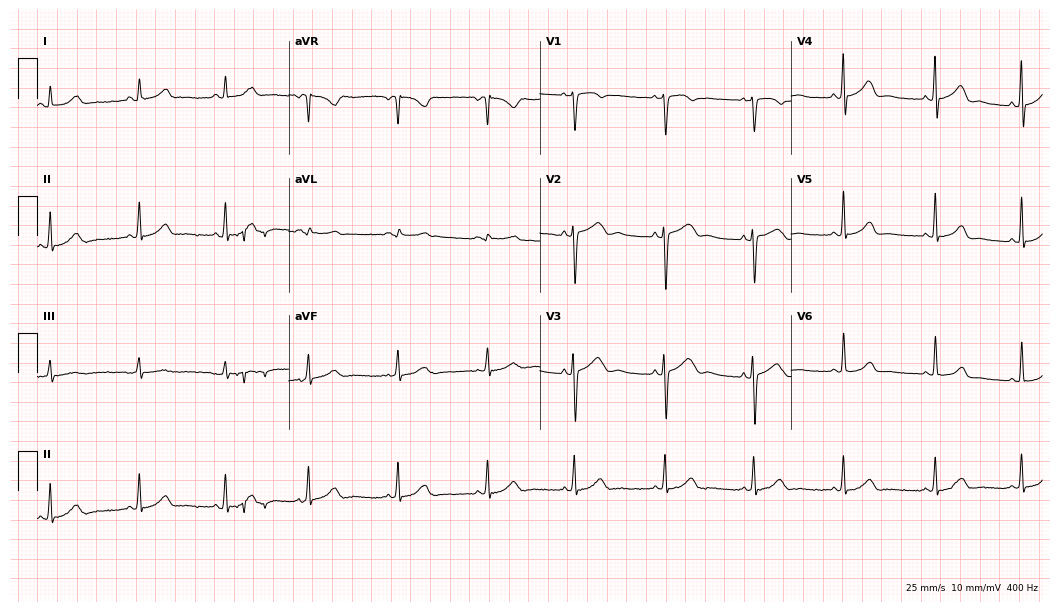
Standard 12-lead ECG recorded from a woman, 35 years old (10.2-second recording at 400 Hz). None of these six findings is recorded: first-degree AV block, right bundle branch block, left bundle branch block, sinus bradycardia, atrial fibrillation, sinus tachycardia.